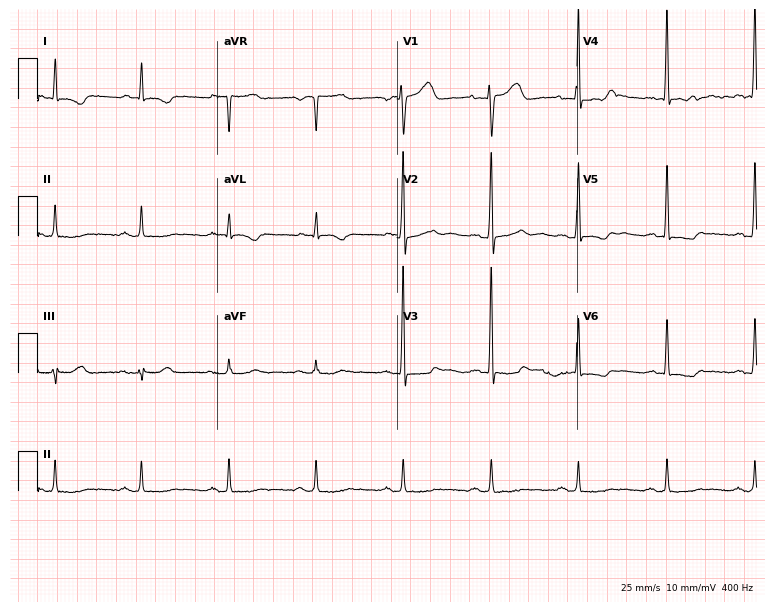
12-lead ECG from a 66-year-old man. No first-degree AV block, right bundle branch block, left bundle branch block, sinus bradycardia, atrial fibrillation or sinus tachycardia recorded for this tracing.